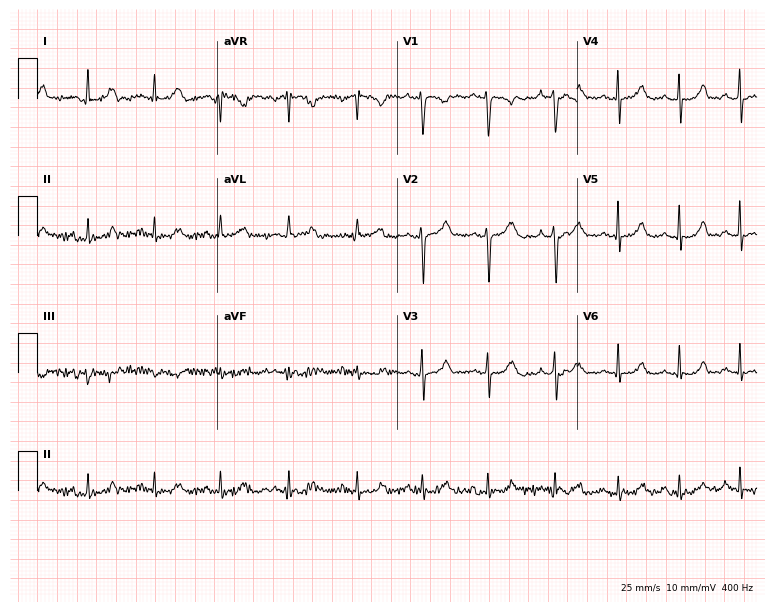
12-lead ECG from a female, 37 years old (7.3-second recording at 400 Hz). Recorded interpretation: within normal limits.